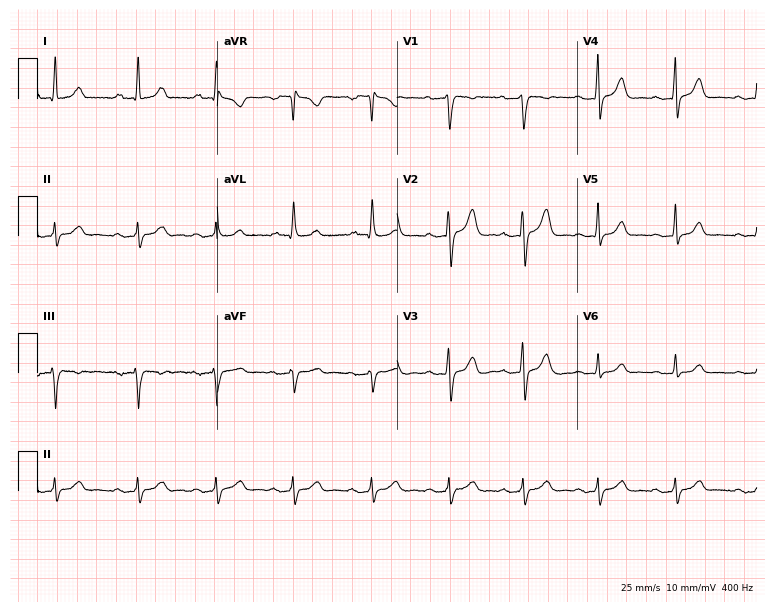
12-lead ECG (7.3-second recording at 400 Hz) from a female, 49 years old. Labelled as a normal ECG.